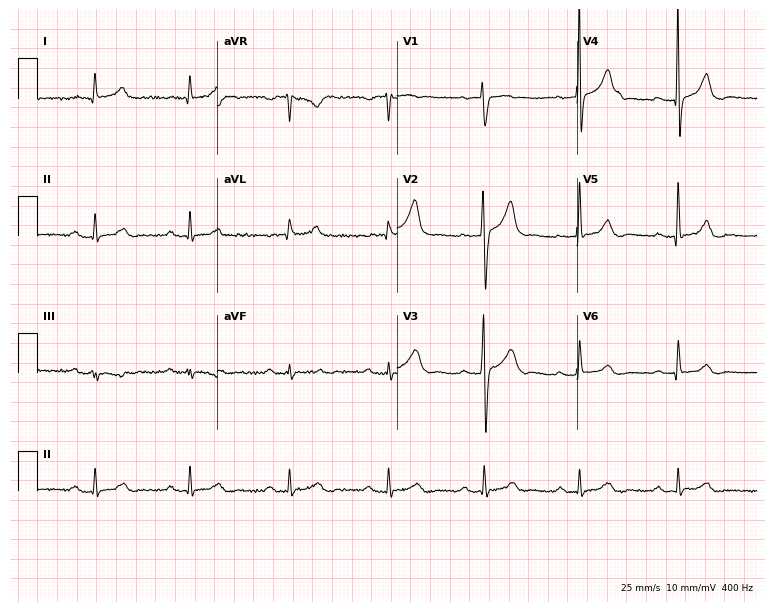
12-lead ECG from a man, 50 years old (7.3-second recording at 400 Hz). Recorded interpretation: within normal limits.